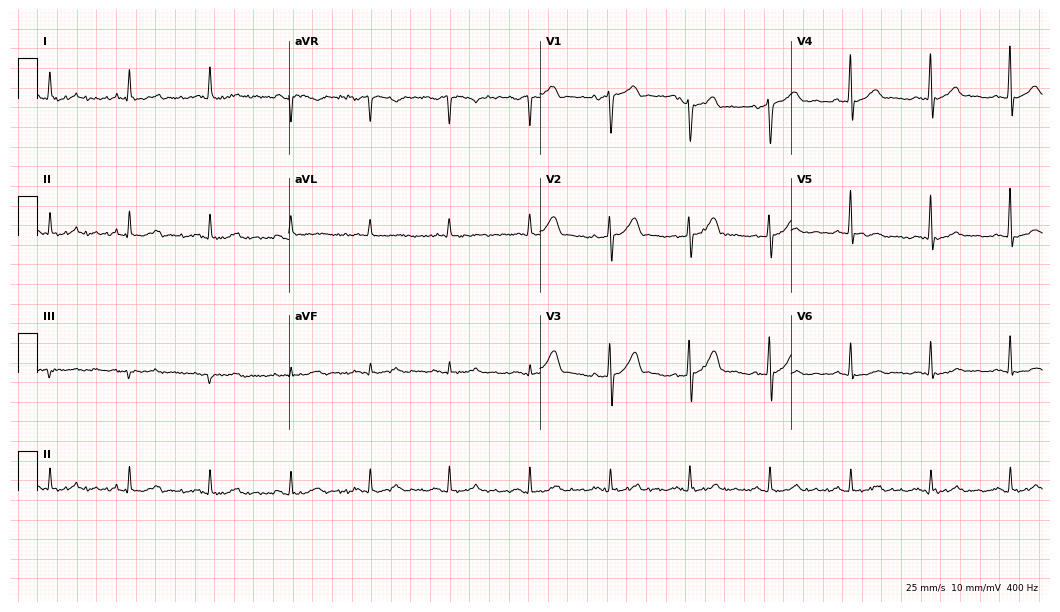
Standard 12-lead ECG recorded from a male, 64 years old (10.2-second recording at 400 Hz). Read as a normal ECG.